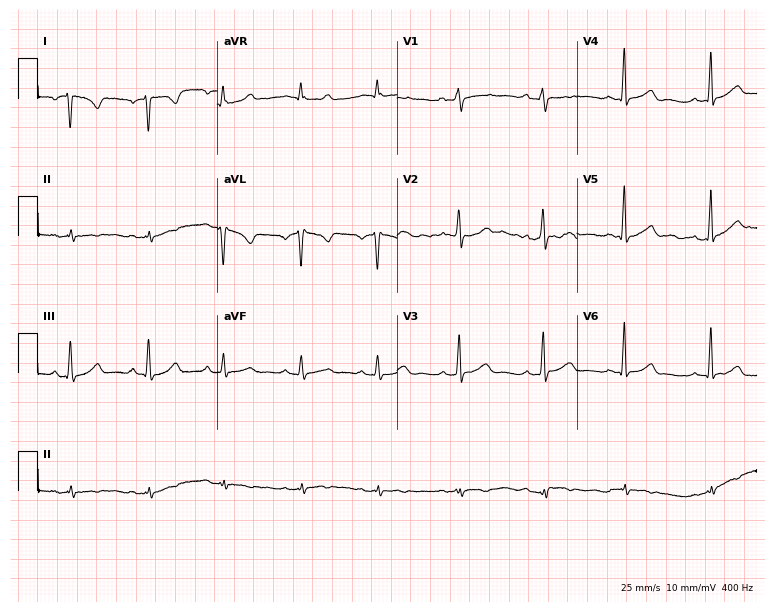
Standard 12-lead ECG recorded from a 28-year-old female (7.3-second recording at 400 Hz). None of these six findings is recorded: first-degree AV block, right bundle branch block (RBBB), left bundle branch block (LBBB), sinus bradycardia, atrial fibrillation (AF), sinus tachycardia.